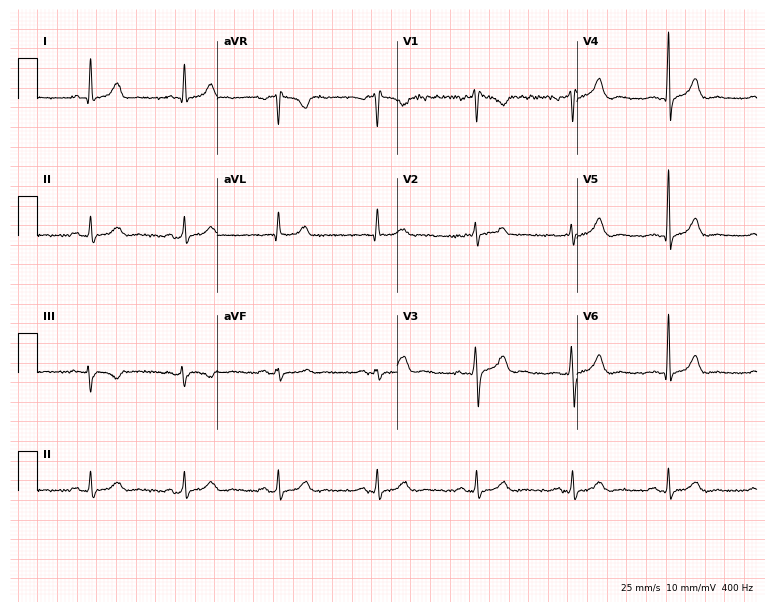
12-lead ECG from a male patient, 45 years old. Labelled as a normal ECG.